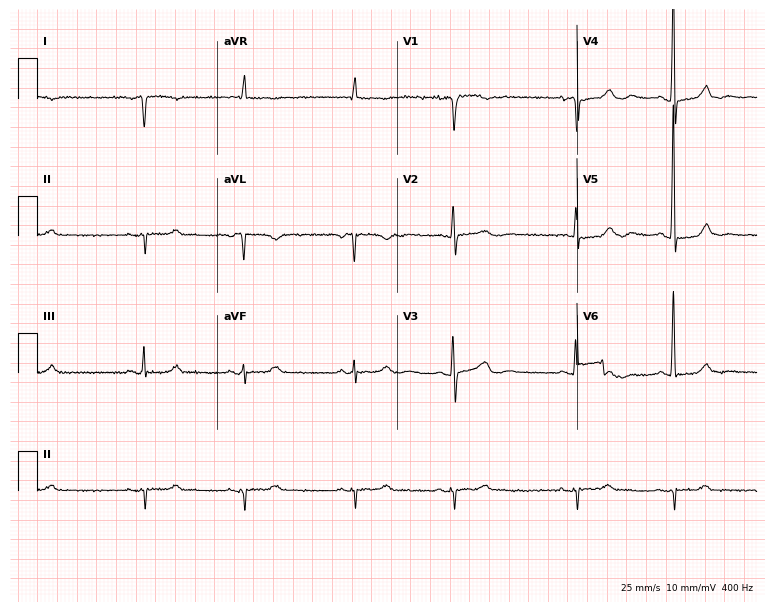
Standard 12-lead ECG recorded from a female, 78 years old. None of these six findings is recorded: first-degree AV block, right bundle branch block, left bundle branch block, sinus bradycardia, atrial fibrillation, sinus tachycardia.